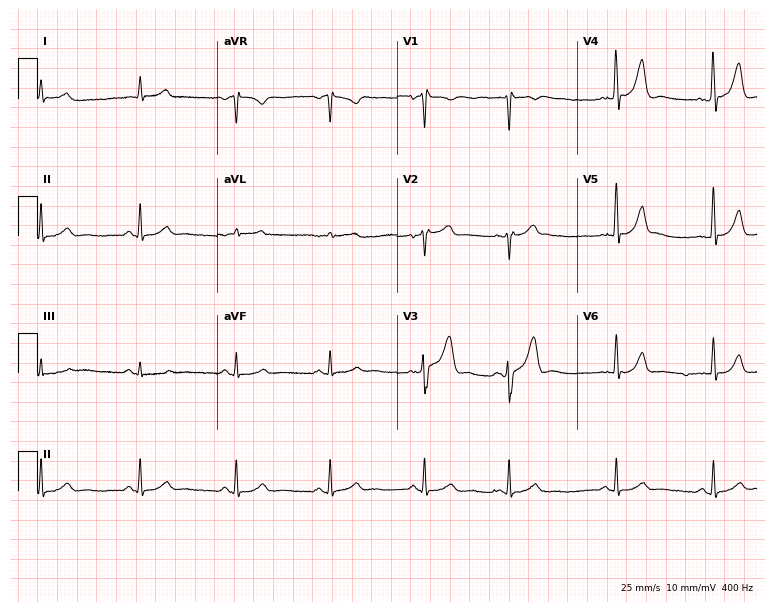
Electrocardiogram, a male patient, 67 years old. Overall reading on record: normal ECG.